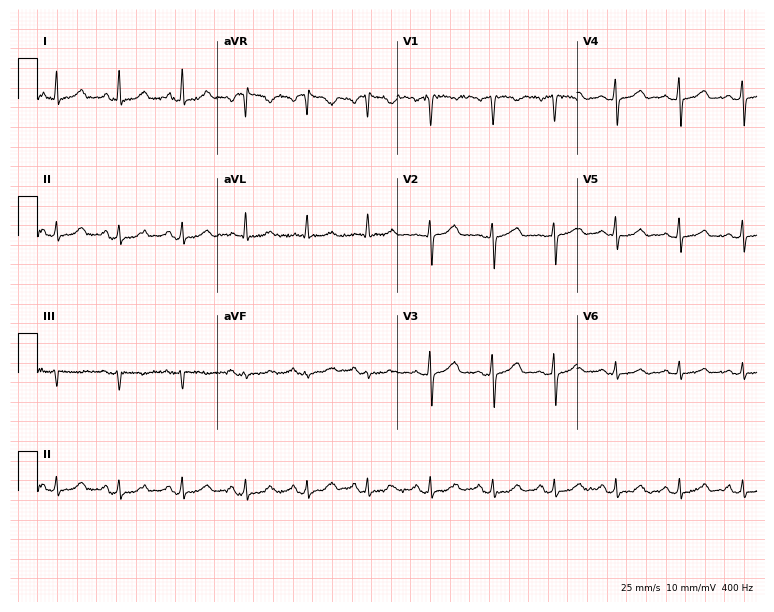
12-lead ECG (7.3-second recording at 400 Hz) from a female, 44 years old. Screened for six findings — first-degree AV block, right bundle branch block (RBBB), left bundle branch block (LBBB), sinus bradycardia, atrial fibrillation (AF), sinus tachycardia — none is recorded.